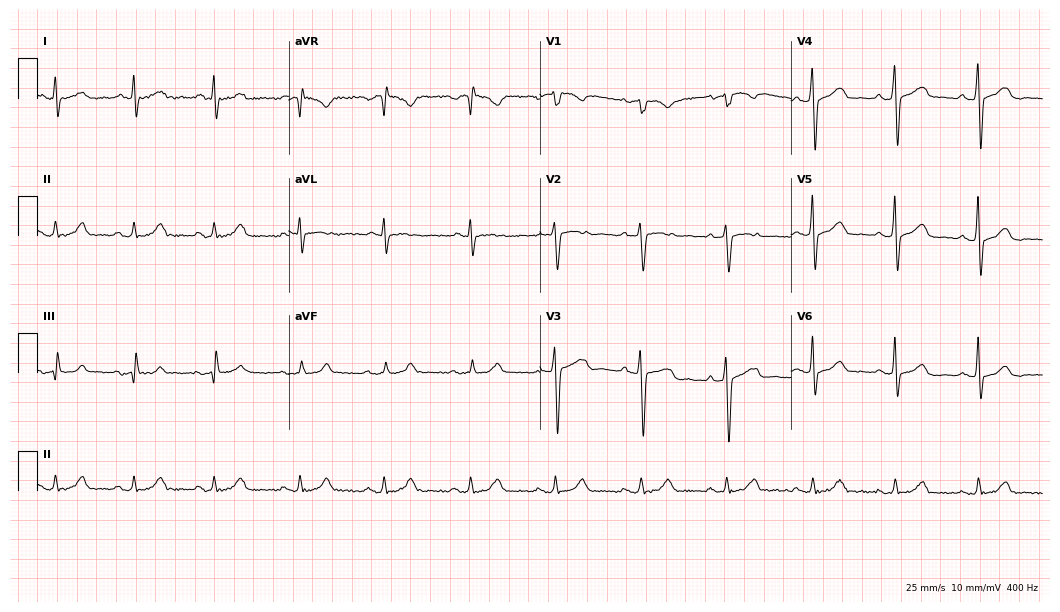
Resting 12-lead electrocardiogram (10.2-second recording at 400 Hz). Patient: a 63-year-old man. Read as a normal ECG.